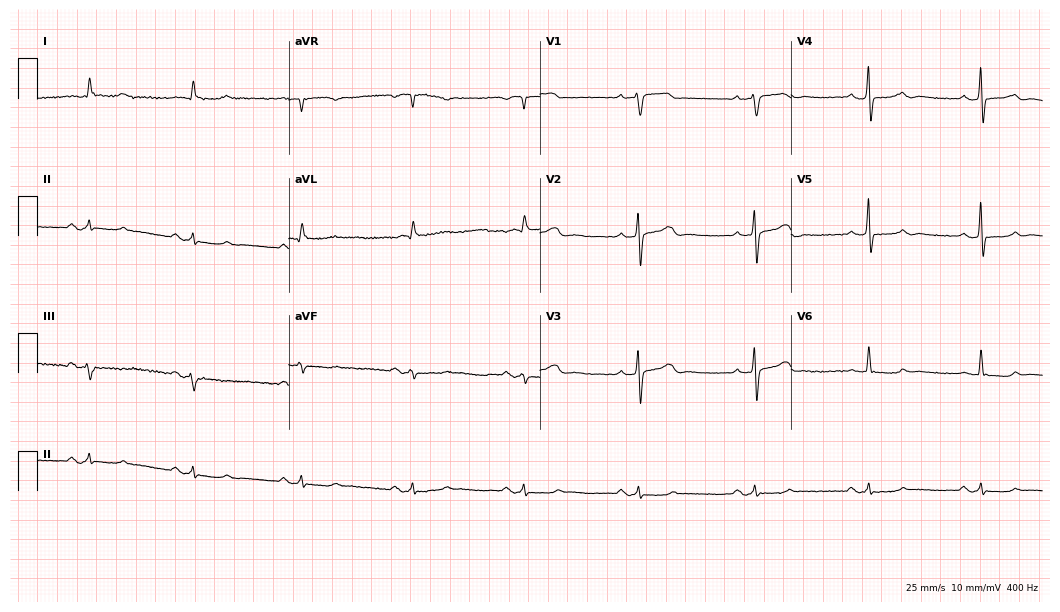
Electrocardiogram, a male patient, 72 years old. Of the six screened findings (first-degree AV block, right bundle branch block, left bundle branch block, sinus bradycardia, atrial fibrillation, sinus tachycardia), none is recorded. Findings outside these six are not listed.